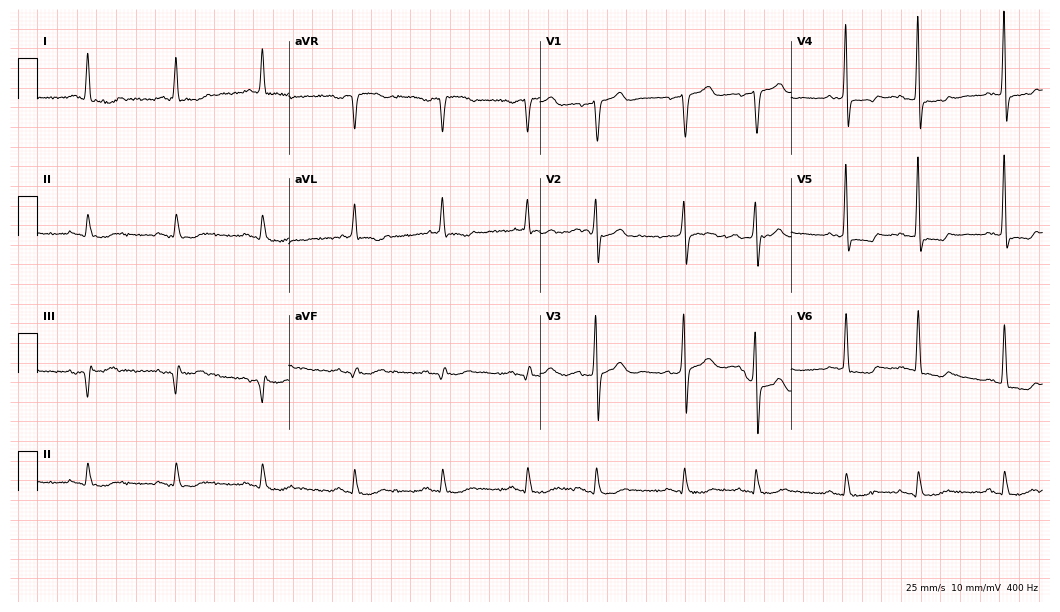
Electrocardiogram (10.2-second recording at 400 Hz), a male, 65 years old. Of the six screened findings (first-degree AV block, right bundle branch block (RBBB), left bundle branch block (LBBB), sinus bradycardia, atrial fibrillation (AF), sinus tachycardia), none is recorded. Findings outside these six are not listed.